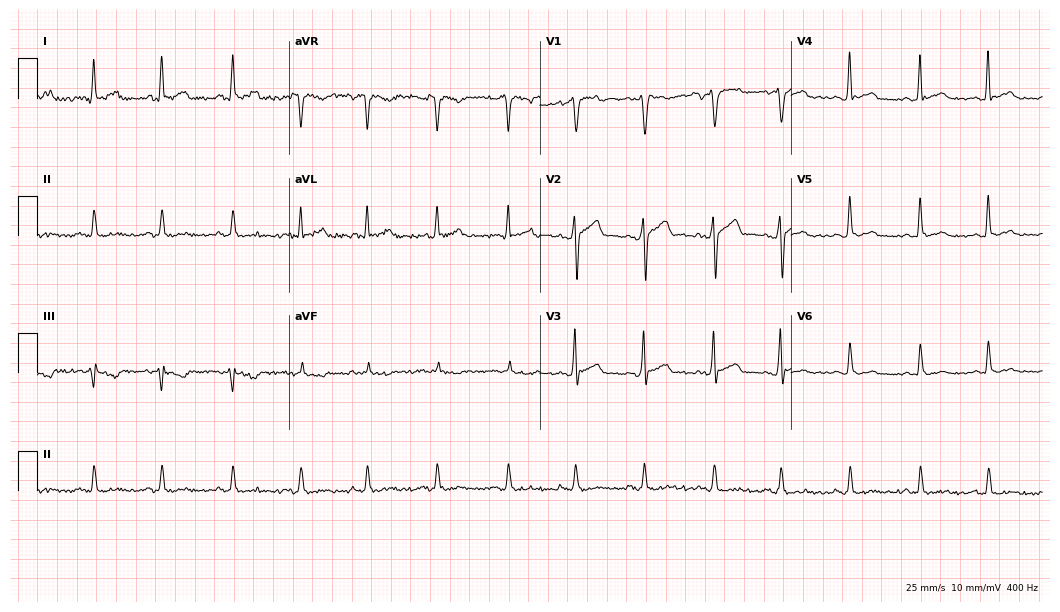
12-lead ECG from a 38-year-old man. No first-degree AV block, right bundle branch block, left bundle branch block, sinus bradycardia, atrial fibrillation or sinus tachycardia recorded for this tracing. Only these six findings were labelled.